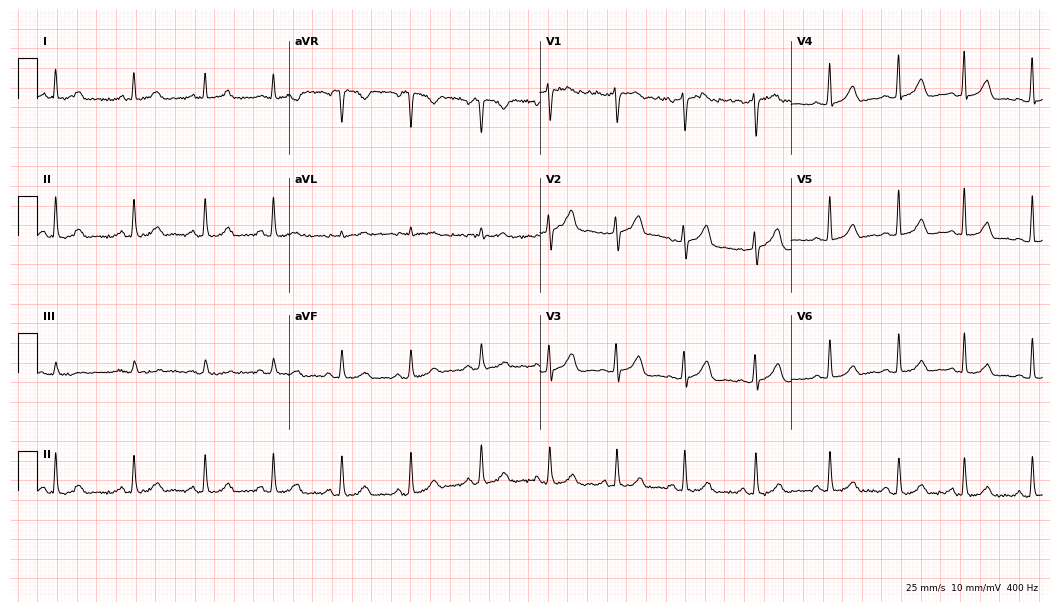
Electrocardiogram, a 37-year-old woman. Overall reading on record: normal ECG.